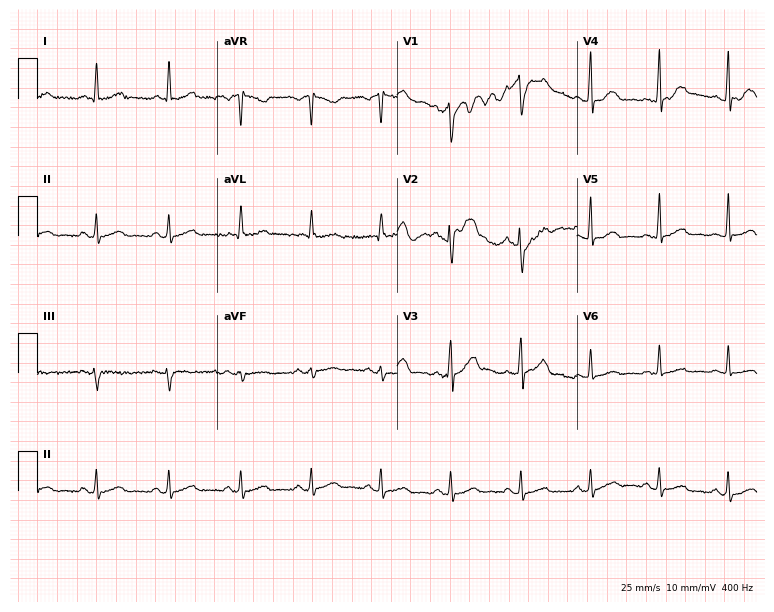
ECG — a 47-year-old man. Screened for six findings — first-degree AV block, right bundle branch block, left bundle branch block, sinus bradycardia, atrial fibrillation, sinus tachycardia — none is recorded. Other findings, if any, are not listed.